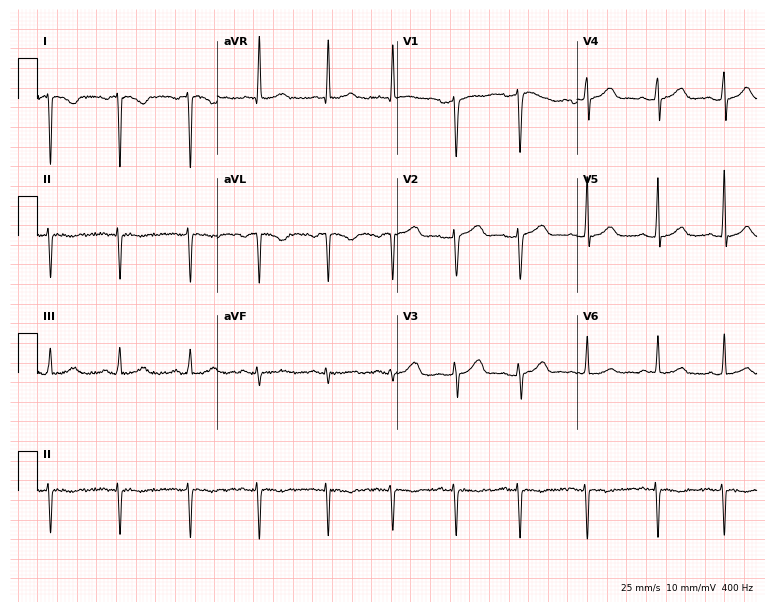
Resting 12-lead electrocardiogram (7.3-second recording at 400 Hz). Patient: a 46-year-old female. None of these six findings is recorded: first-degree AV block, right bundle branch block, left bundle branch block, sinus bradycardia, atrial fibrillation, sinus tachycardia. Only these six findings were labelled.